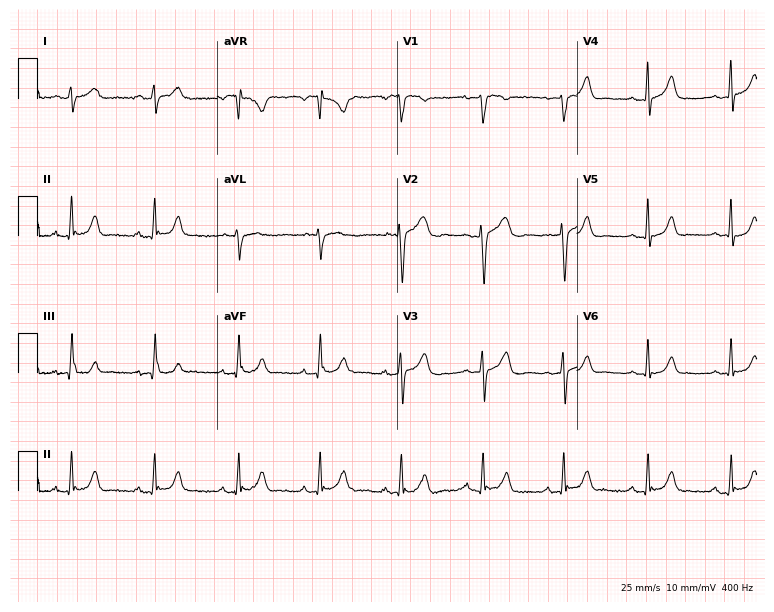
Resting 12-lead electrocardiogram. Patient: a woman, 40 years old. None of these six findings is recorded: first-degree AV block, right bundle branch block, left bundle branch block, sinus bradycardia, atrial fibrillation, sinus tachycardia. Findings outside these six are not listed.